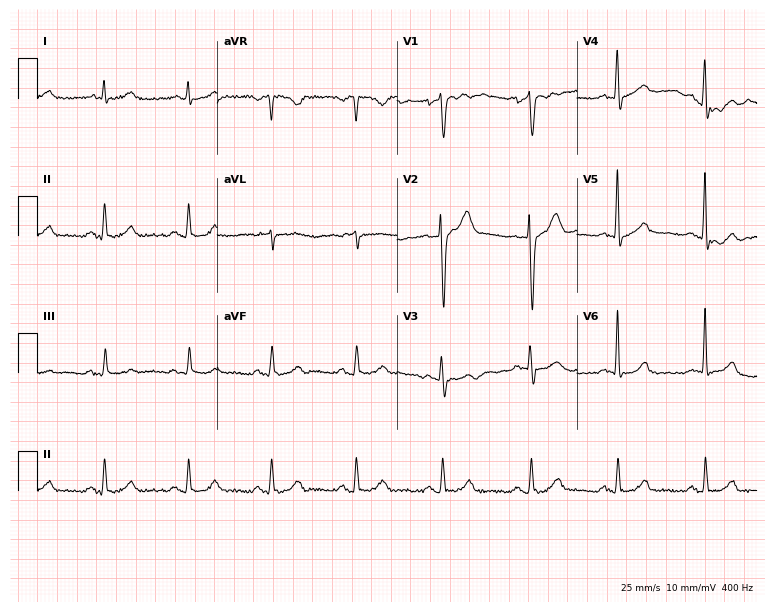
Electrocardiogram, a 55-year-old male patient. Overall reading on record: normal ECG.